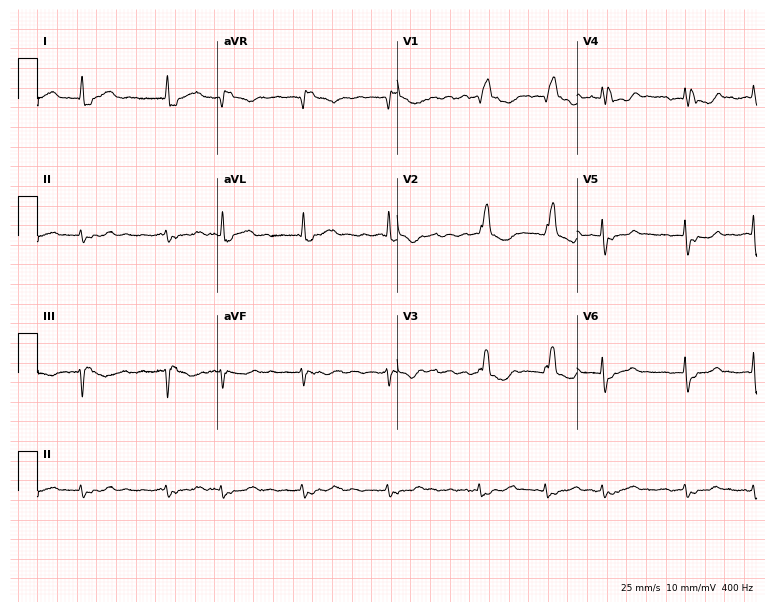
Standard 12-lead ECG recorded from a 79-year-old man. The tracing shows right bundle branch block, atrial fibrillation.